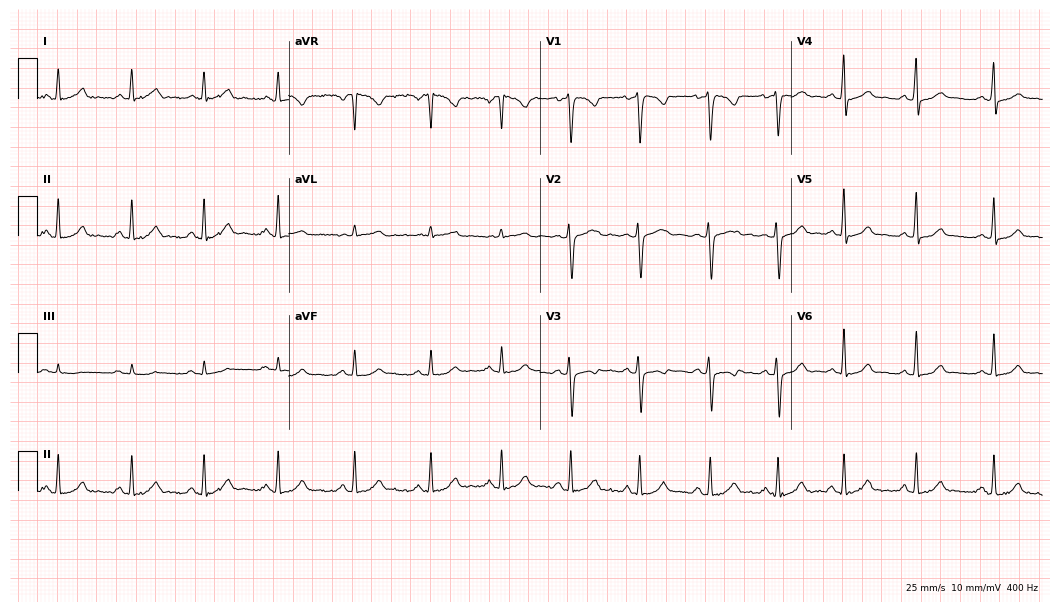
Electrocardiogram, a female patient, 32 years old. Of the six screened findings (first-degree AV block, right bundle branch block (RBBB), left bundle branch block (LBBB), sinus bradycardia, atrial fibrillation (AF), sinus tachycardia), none is recorded.